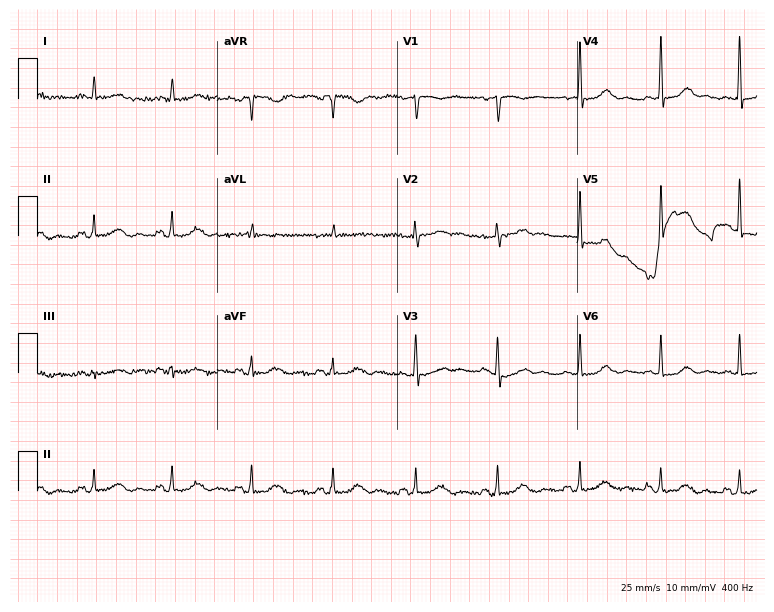
12-lead ECG from a female patient, 52 years old. Screened for six findings — first-degree AV block, right bundle branch block, left bundle branch block, sinus bradycardia, atrial fibrillation, sinus tachycardia — none is recorded. Findings outside these six are not listed.